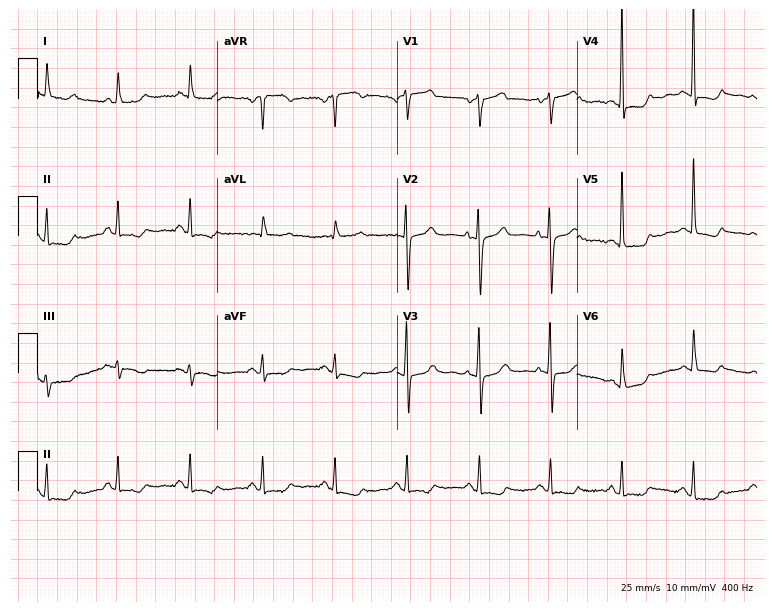
Electrocardiogram (7.3-second recording at 400 Hz), a woman, 75 years old. Of the six screened findings (first-degree AV block, right bundle branch block, left bundle branch block, sinus bradycardia, atrial fibrillation, sinus tachycardia), none is recorded. Only these six findings were labelled.